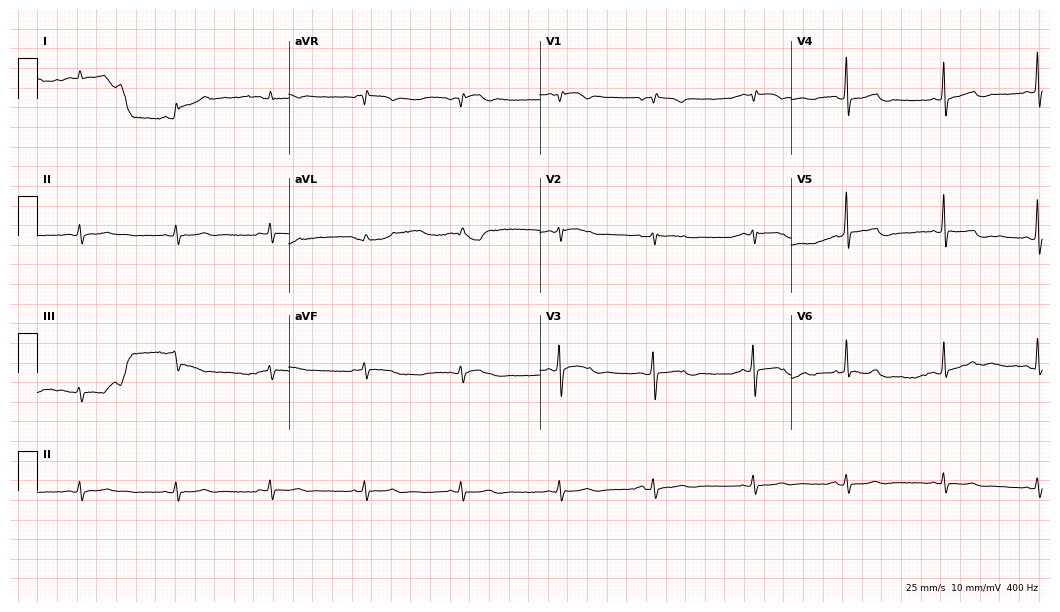
Resting 12-lead electrocardiogram. Patient: an 85-year-old man. None of these six findings is recorded: first-degree AV block, right bundle branch block (RBBB), left bundle branch block (LBBB), sinus bradycardia, atrial fibrillation (AF), sinus tachycardia.